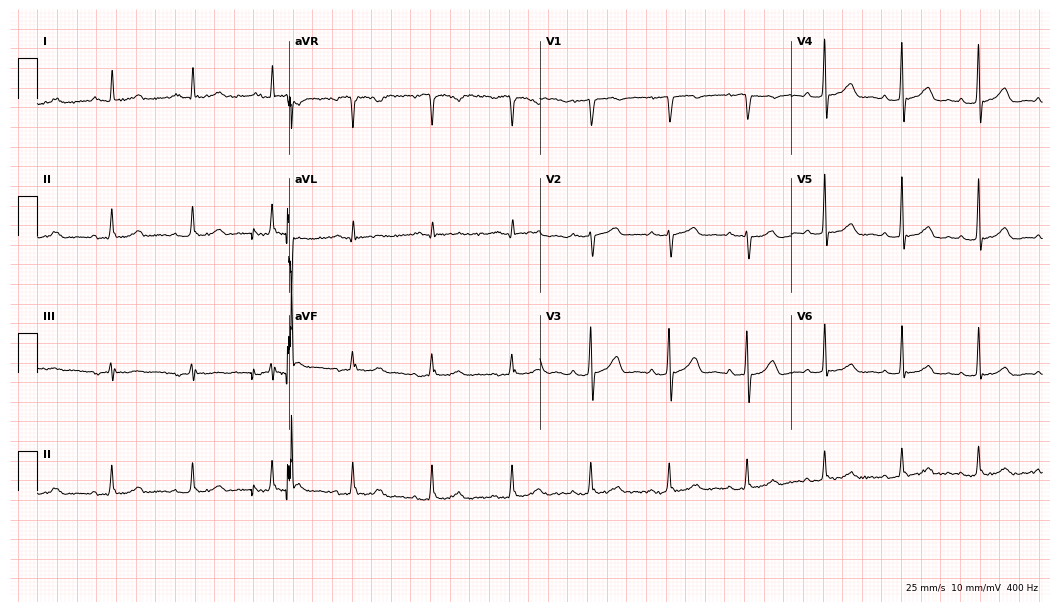
Resting 12-lead electrocardiogram (10.2-second recording at 400 Hz). Patient: a female, 64 years old. Read as a normal ECG.